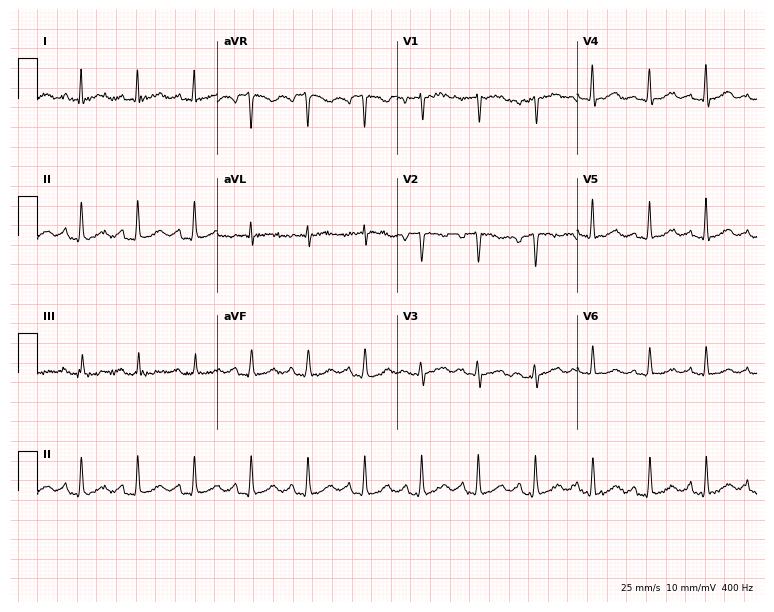
Electrocardiogram (7.3-second recording at 400 Hz), a 59-year-old woman. Interpretation includes sinus tachycardia (a sinus rate of 100 beats per minute or more).